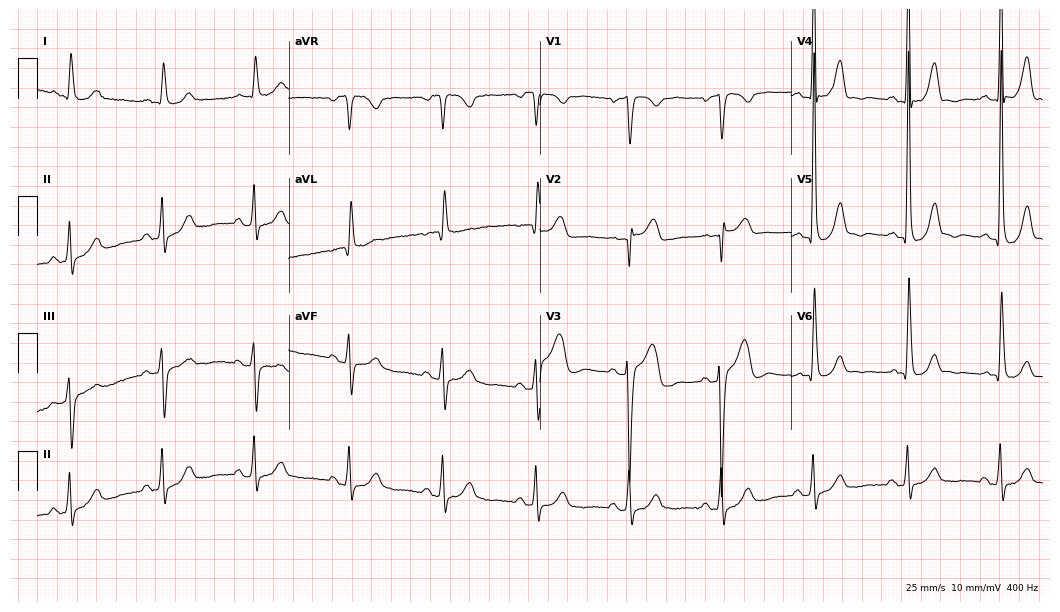
12-lead ECG from a female patient, 83 years old (10.2-second recording at 400 Hz). No first-degree AV block, right bundle branch block (RBBB), left bundle branch block (LBBB), sinus bradycardia, atrial fibrillation (AF) or sinus tachycardia recorded for this tracing.